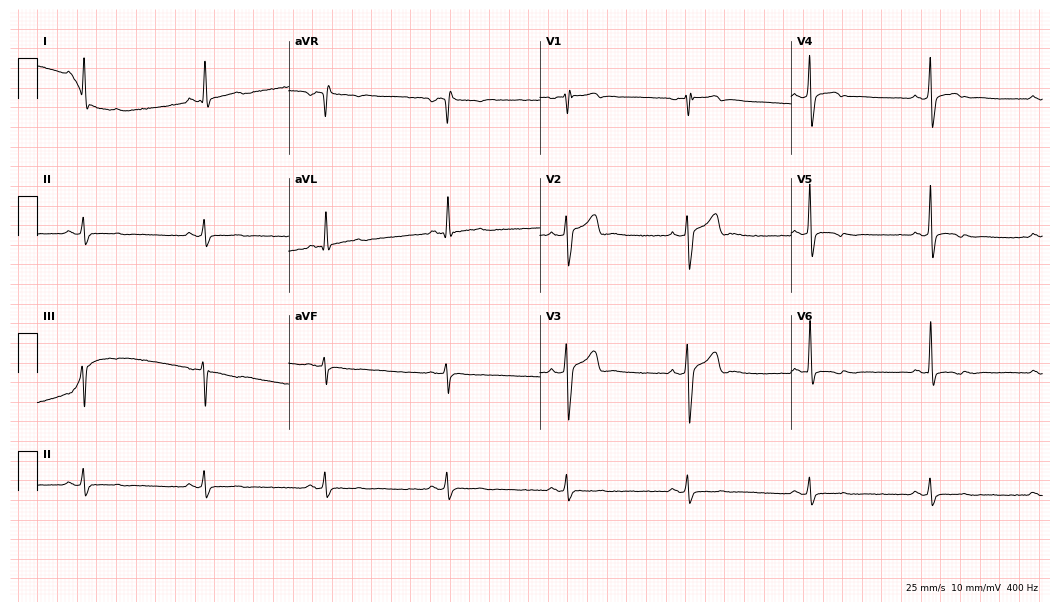
12-lead ECG (10.2-second recording at 400 Hz) from a male patient, 72 years old. Findings include sinus bradycardia (a sinus rate of 50 beats per minute or less).